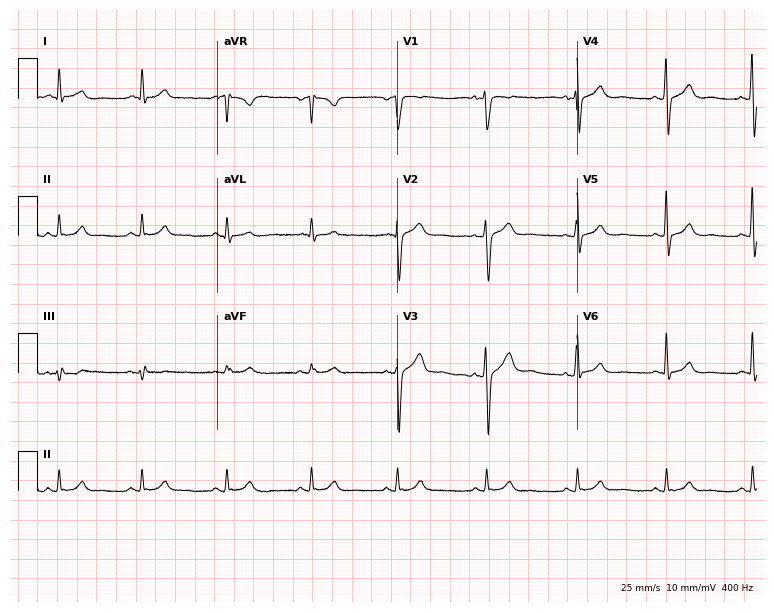
12-lead ECG (7.3-second recording at 400 Hz) from a male, 50 years old. Labelled as a normal ECG.